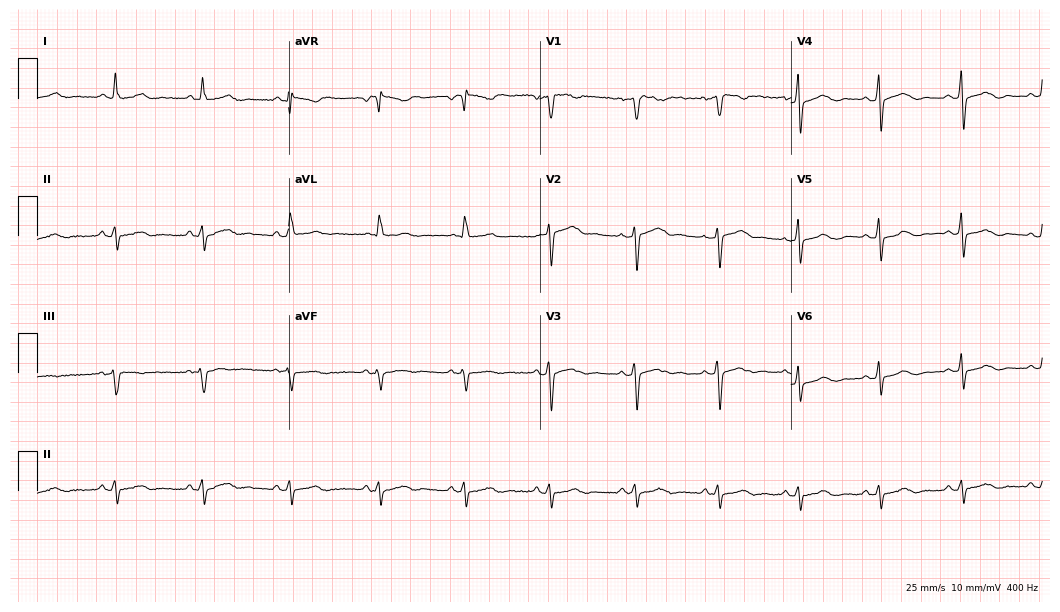
12-lead ECG from a female, 39 years old (10.2-second recording at 400 Hz). No first-degree AV block, right bundle branch block, left bundle branch block, sinus bradycardia, atrial fibrillation or sinus tachycardia recorded for this tracing. Only these six findings were labelled.